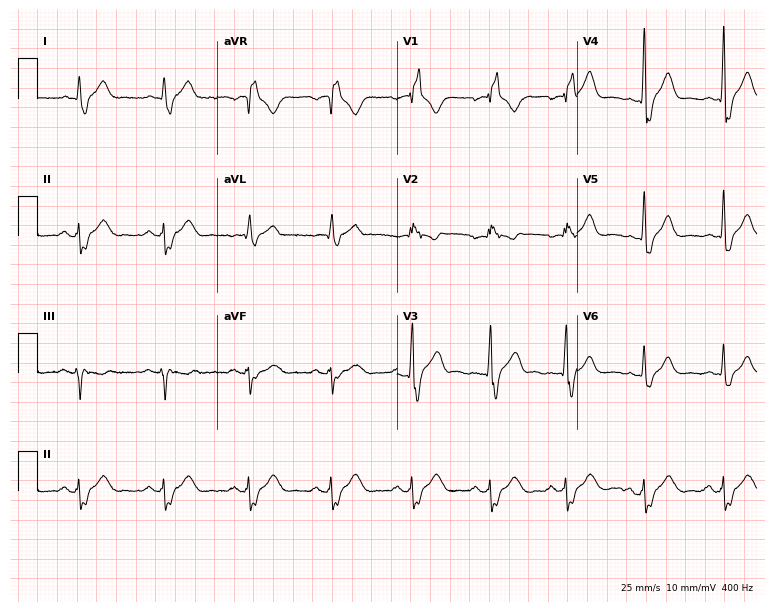
Electrocardiogram (7.3-second recording at 400 Hz), a man, 36 years old. Interpretation includes right bundle branch block (RBBB).